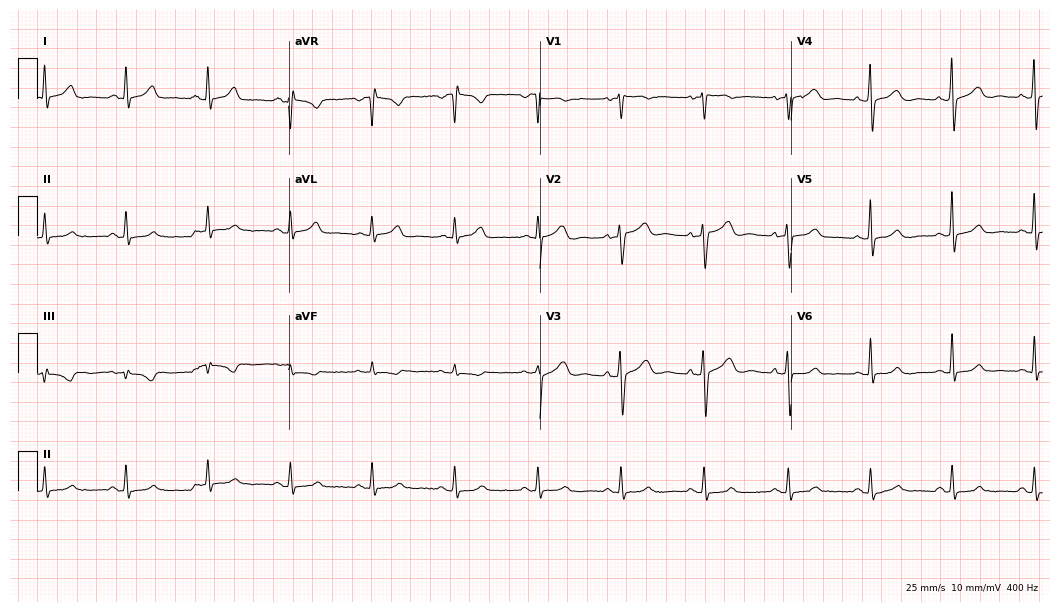
12-lead ECG from a female patient, 51 years old. Screened for six findings — first-degree AV block, right bundle branch block, left bundle branch block, sinus bradycardia, atrial fibrillation, sinus tachycardia — none is recorded.